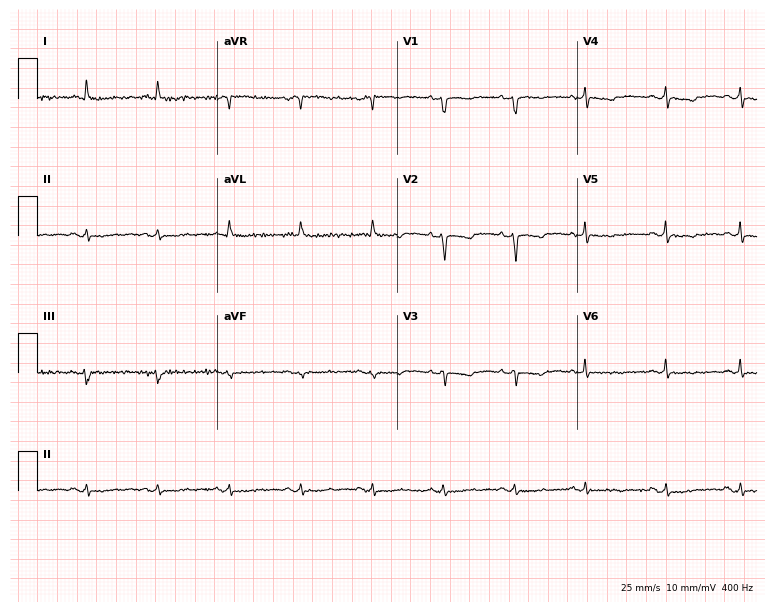
ECG (7.3-second recording at 400 Hz) — a 35-year-old female patient. Screened for six findings — first-degree AV block, right bundle branch block (RBBB), left bundle branch block (LBBB), sinus bradycardia, atrial fibrillation (AF), sinus tachycardia — none is recorded. Only these six findings were labelled.